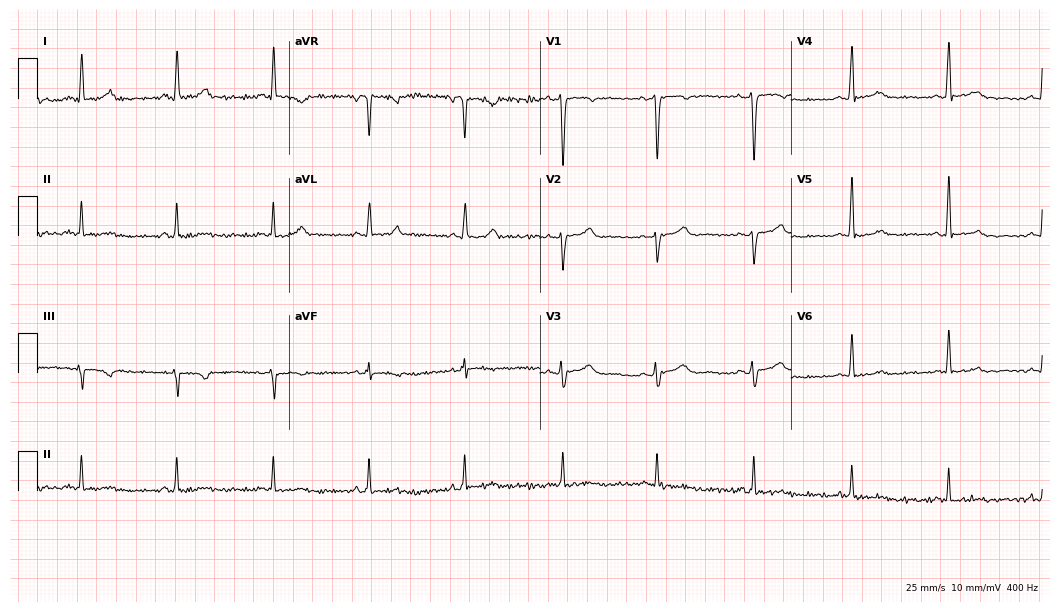
Electrocardiogram (10.2-second recording at 400 Hz), a female patient, 48 years old. Overall reading on record: normal ECG.